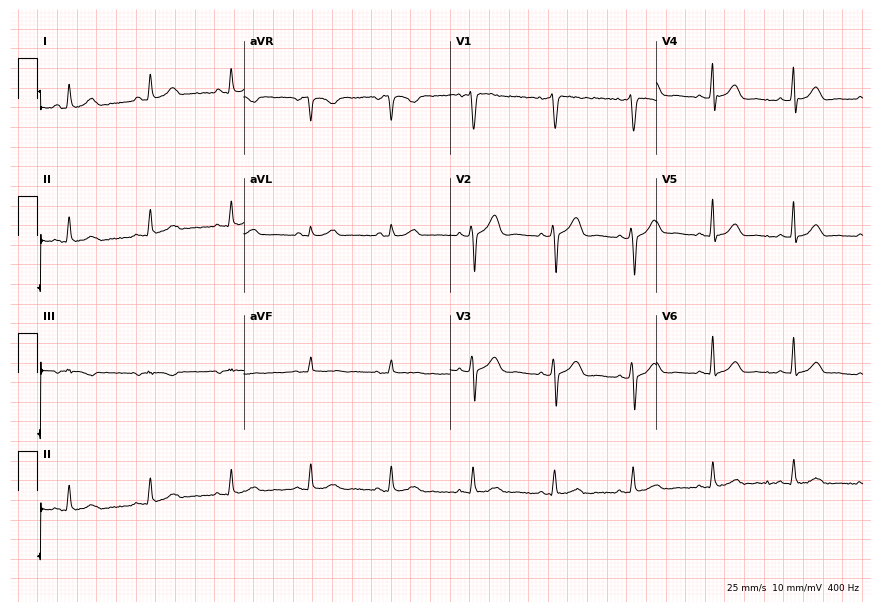
ECG — a 42-year-old female patient. Labelled as a normal ECG.